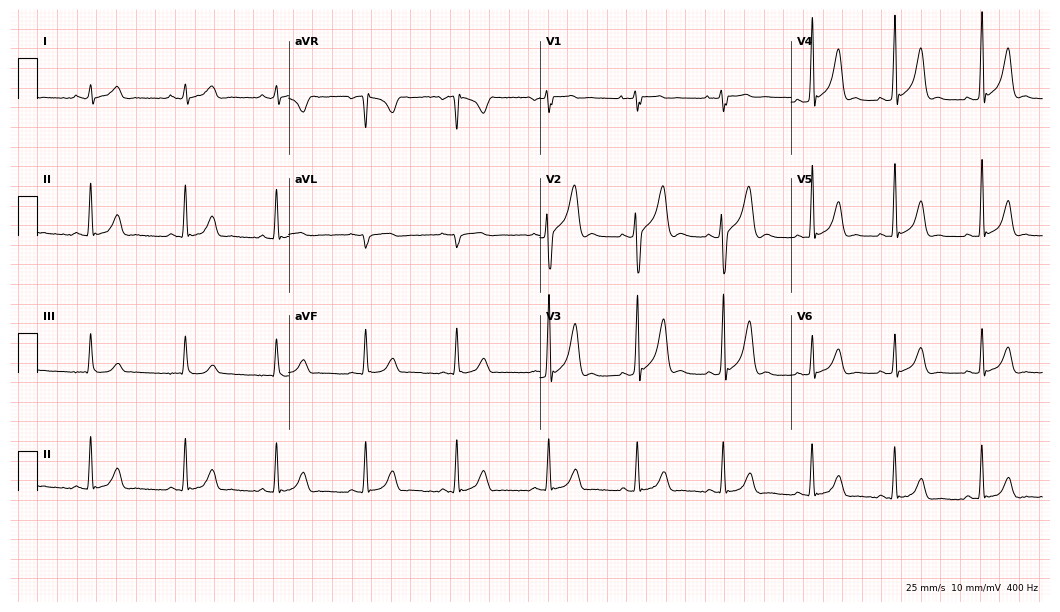
Resting 12-lead electrocardiogram. Patient: a 20-year-old male. Read as a normal ECG.